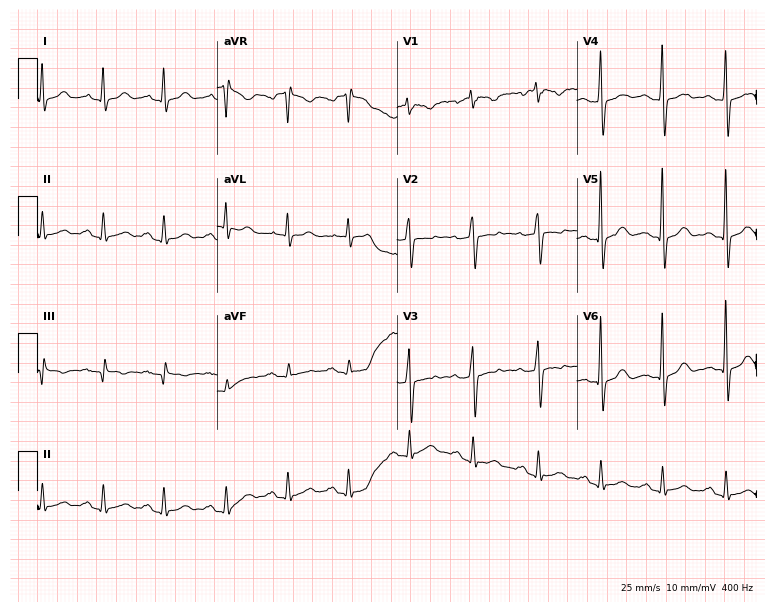
Standard 12-lead ECG recorded from a male patient, 37 years old (7.3-second recording at 400 Hz). None of these six findings is recorded: first-degree AV block, right bundle branch block (RBBB), left bundle branch block (LBBB), sinus bradycardia, atrial fibrillation (AF), sinus tachycardia.